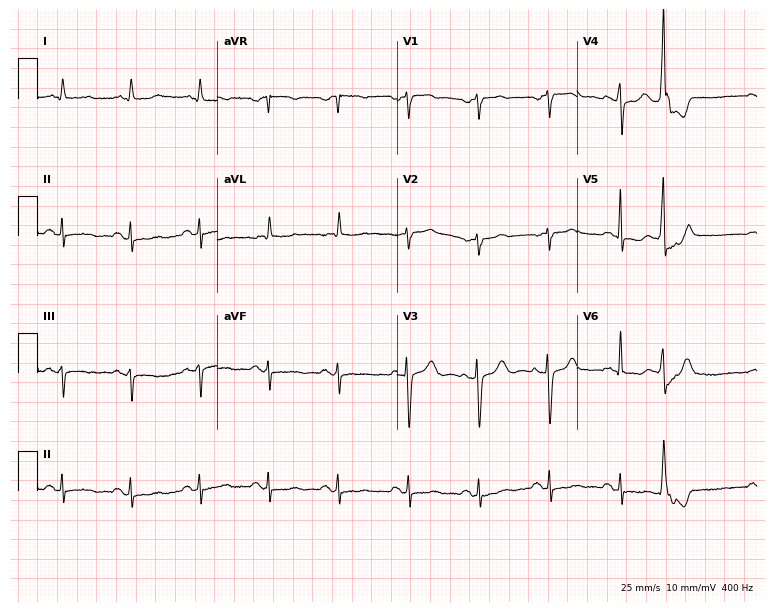
Resting 12-lead electrocardiogram (7.3-second recording at 400 Hz). Patient: a 72-year-old woman. None of these six findings is recorded: first-degree AV block, right bundle branch block, left bundle branch block, sinus bradycardia, atrial fibrillation, sinus tachycardia. Only these six findings were labelled.